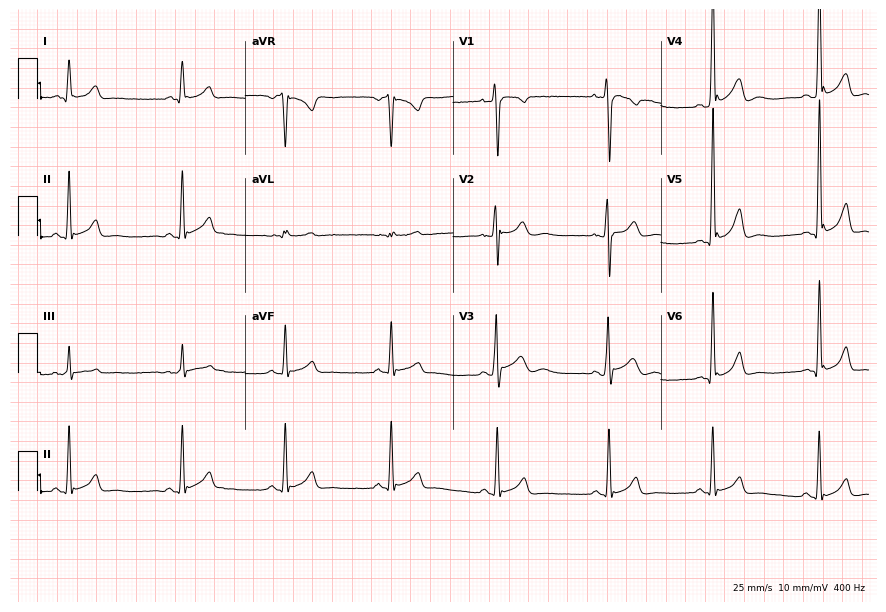
Resting 12-lead electrocardiogram. Patient: a male, 19 years old. None of these six findings is recorded: first-degree AV block, right bundle branch block, left bundle branch block, sinus bradycardia, atrial fibrillation, sinus tachycardia.